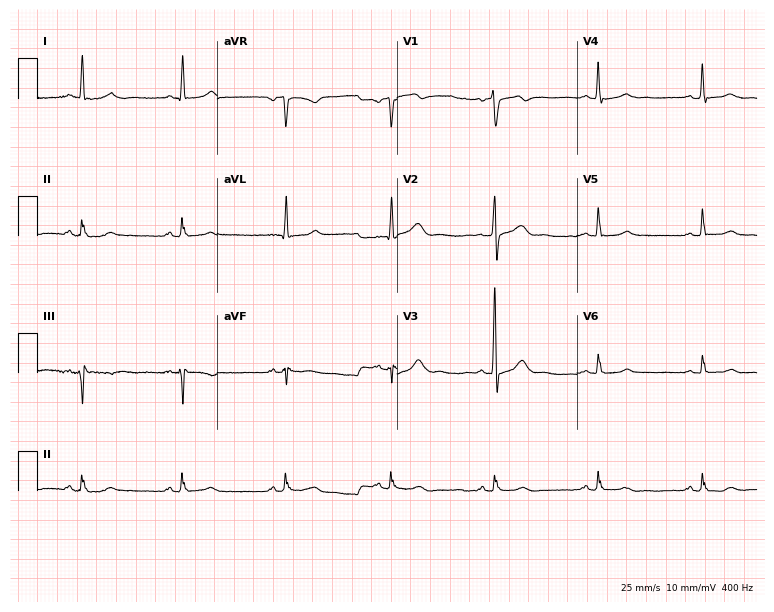
Electrocardiogram, a 49-year-old male. Overall reading on record: normal ECG.